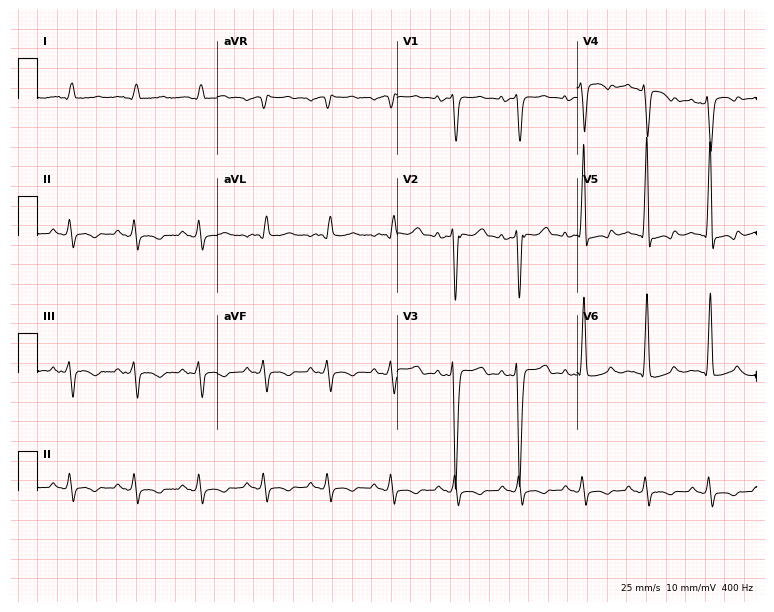
Resting 12-lead electrocardiogram (7.3-second recording at 400 Hz). Patient: a male, 47 years old. None of these six findings is recorded: first-degree AV block, right bundle branch block, left bundle branch block, sinus bradycardia, atrial fibrillation, sinus tachycardia. Other findings, if any, are not listed.